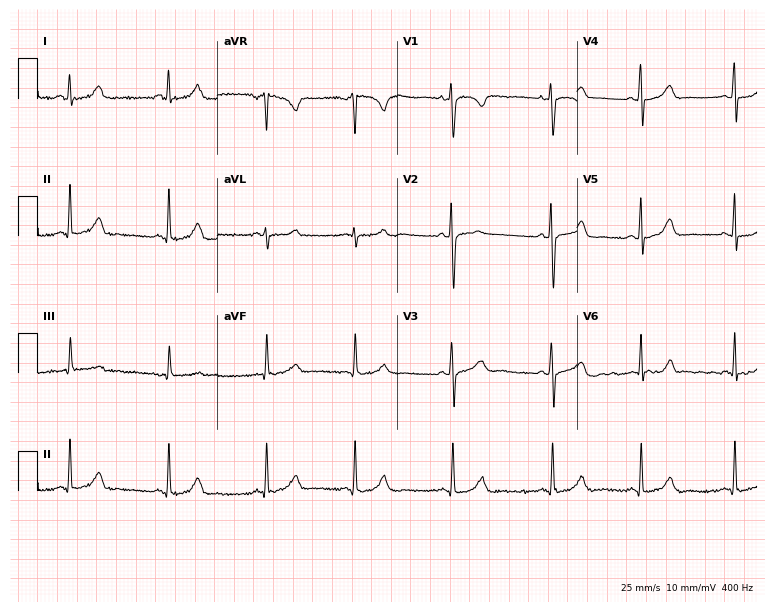
12-lead ECG (7.3-second recording at 400 Hz) from a 25-year-old female. Screened for six findings — first-degree AV block, right bundle branch block, left bundle branch block, sinus bradycardia, atrial fibrillation, sinus tachycardia — none is recorded.